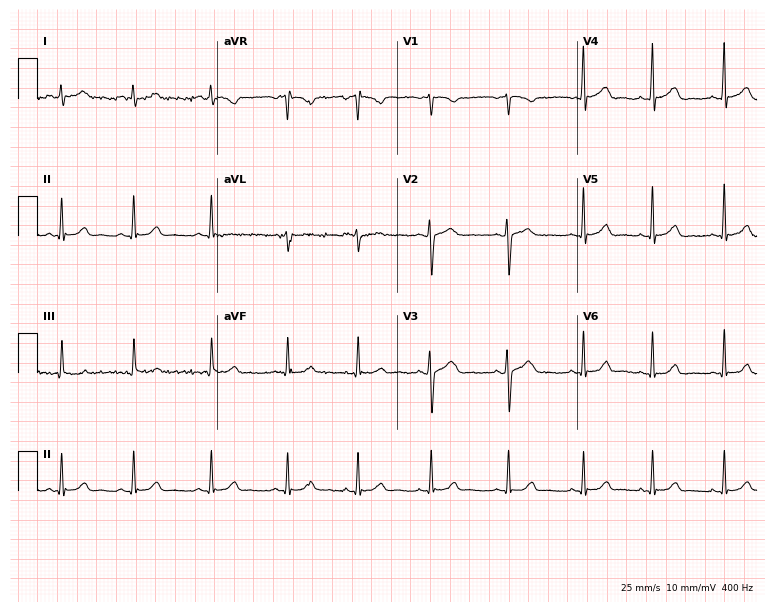
Electrocardiogram (7.3-second recording at 400 Hz), a 19-year-old female patient. Overall reading on record: normal ECG.